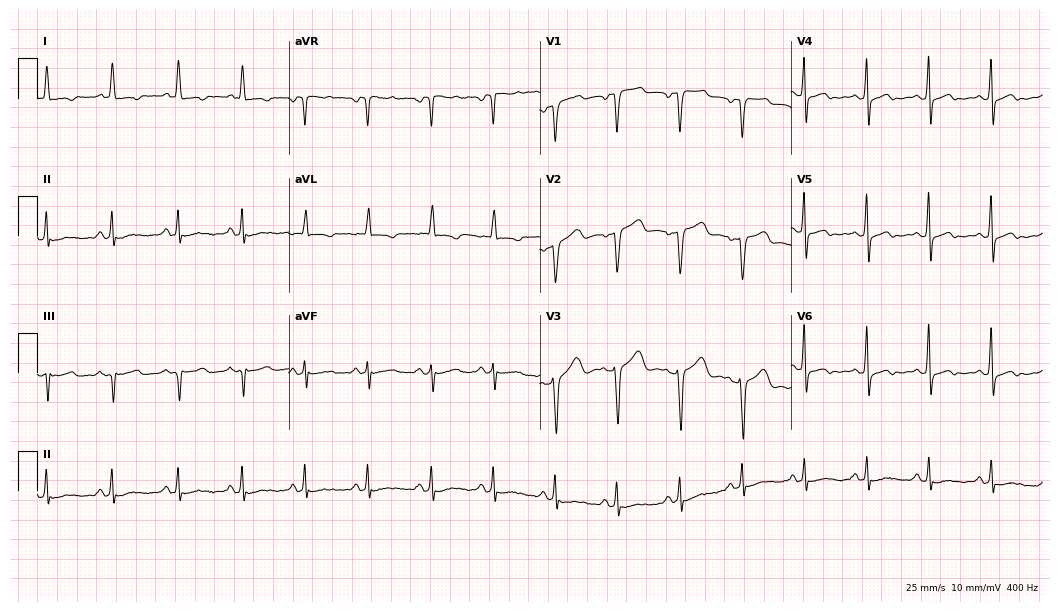
ECG — a female patient, 52 years old. Screened for six findings — first-degree AV block, right bundle branch block, left bundle branch block, sinus bradycardia, atrial fibrillation, sinus tachycardia — none is recorded.